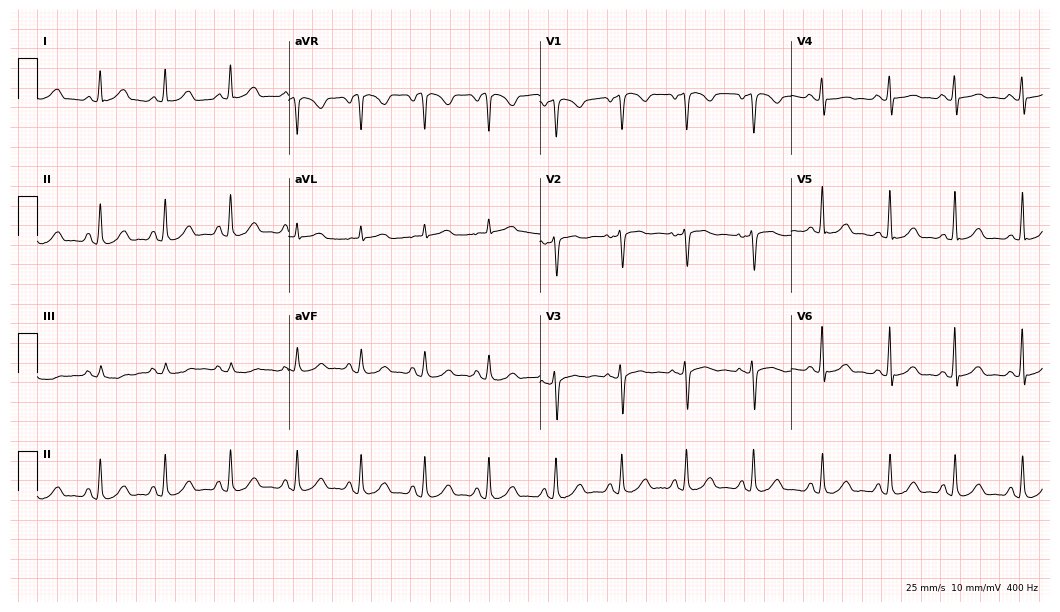
ECG — a 56-year-old woman. Screened for six findings — first-degree AV block, right bundle branch block (RBBB), left bundle branch block (LBBB), sinus bradycardia, atrial fibrillation (AF), sinus tachycardia — none is recorded.